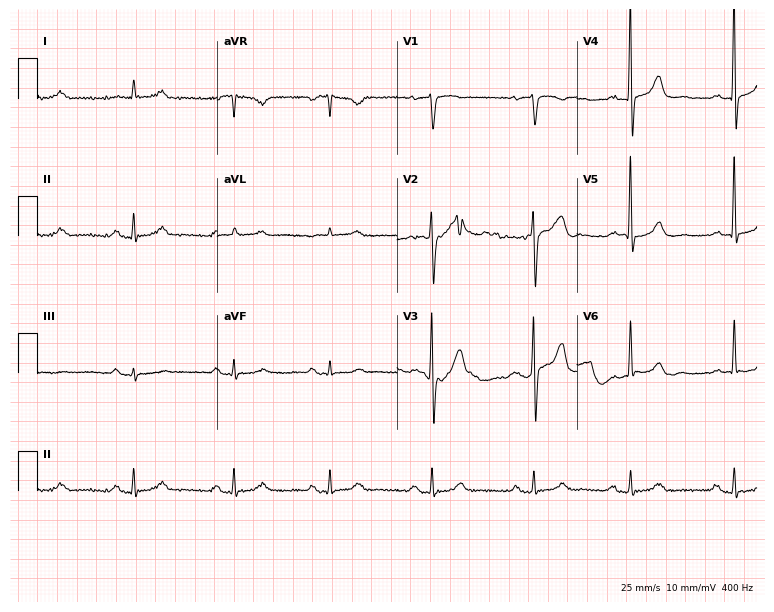
ECG — a 76-year-old man. Labelled as a normal ECG.